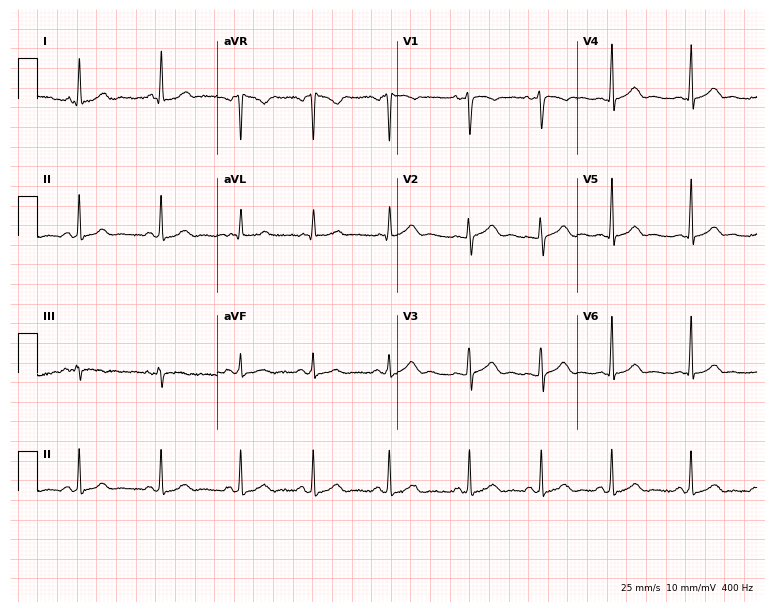
Standard 12-lead ECG recorded from a 19-year-old female (7.3-second recording at 400 Hz). None of these six findings is recorded: first-degree AV block, right bundle branch block, left bundle branch block, sinus bradycardia, atrial fibrillation, sinus tachycardia. Findings outside these six are not listed.